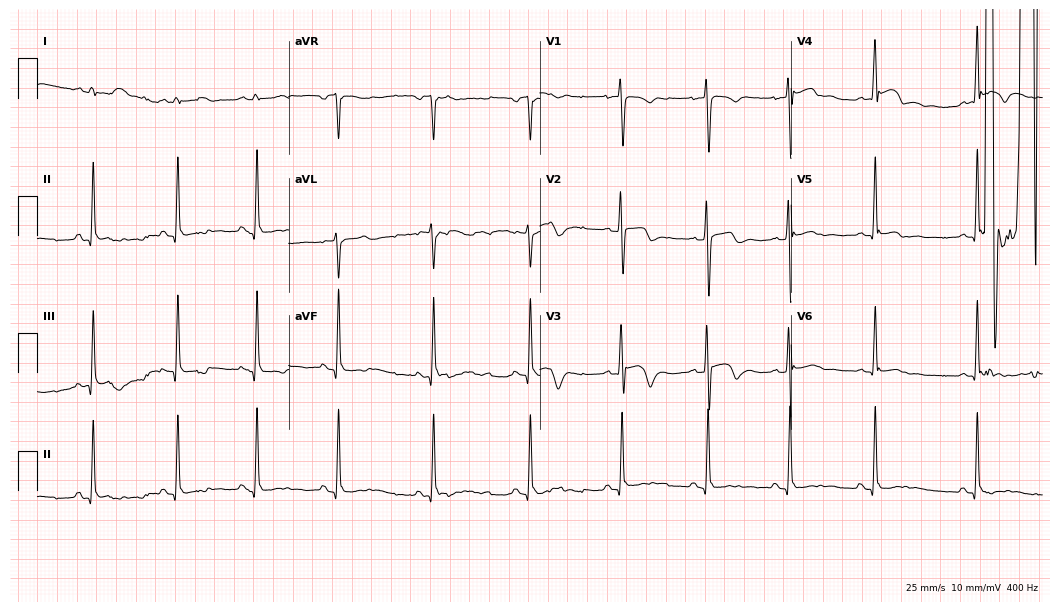
Standard 12-lead ECG recorded from a male, 19 years old (10.2-second recording at 400 Hz). None of these six findings is recorded: first-degree AV block, right bundle branch block, left bundle branch block, sinus bradycardia, atrial fibrillation, sinus tachycardia. Findings outside these six are not listed.